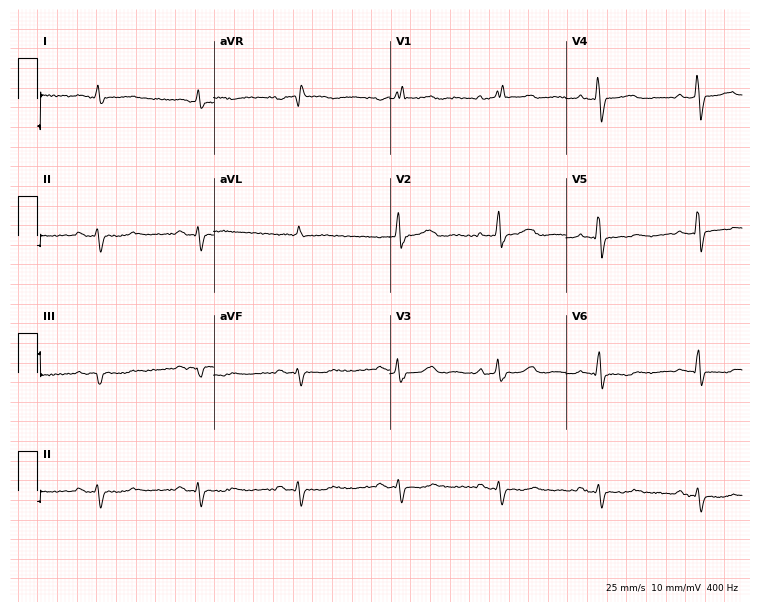
12-lead ECG from an 82-year-old male patient. Findings include right bundle branch block.